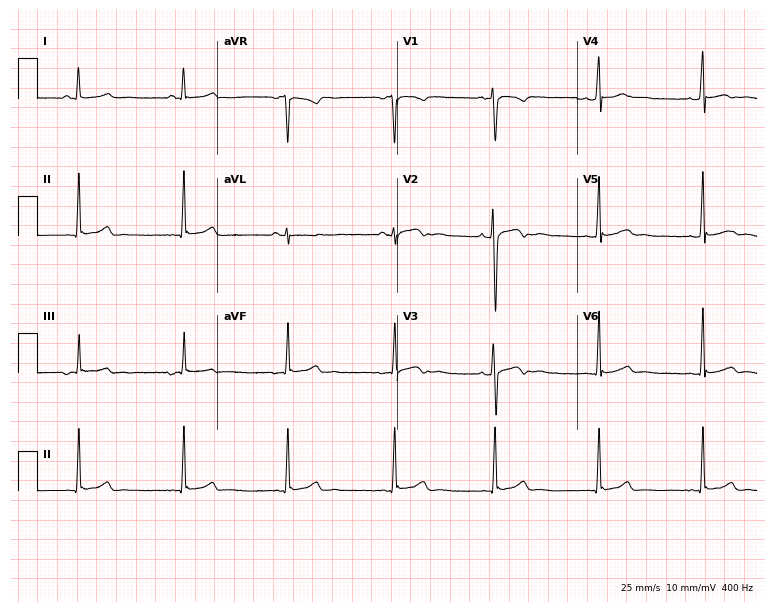
Standard 12-lead ECG recorded from a 20-year-old female patient (7.3-second recording at 400 Hz). Read as a normal ECG.